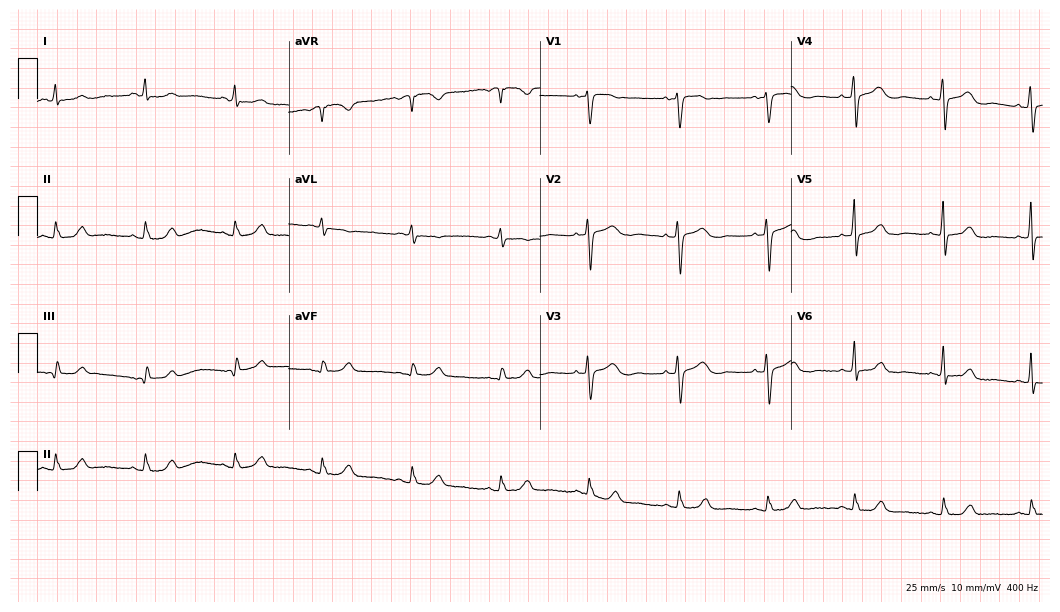
Electrocardiogram, a 60-year-old female patient. Overall reading on record: normal ECG.